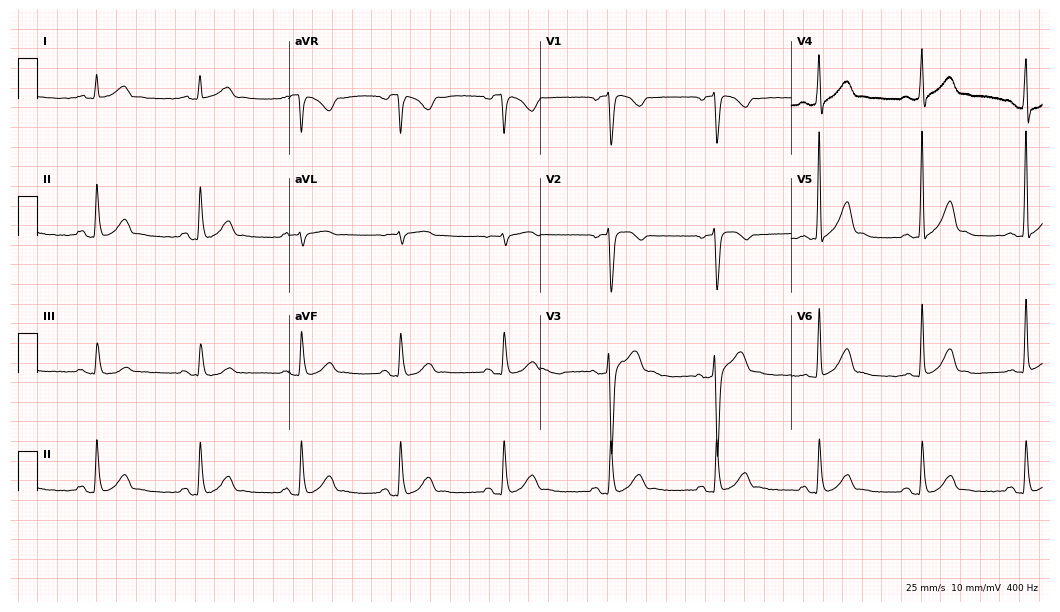
12-lead ECG from a male patient, 49 years old. Screened for six findings — first-degree AV block, right bundle branch block, left bundle branch block, sinus bradycardia, atrial fibrillation, sinus tachycardia — none is recorded. Findings outside these six are not listed.